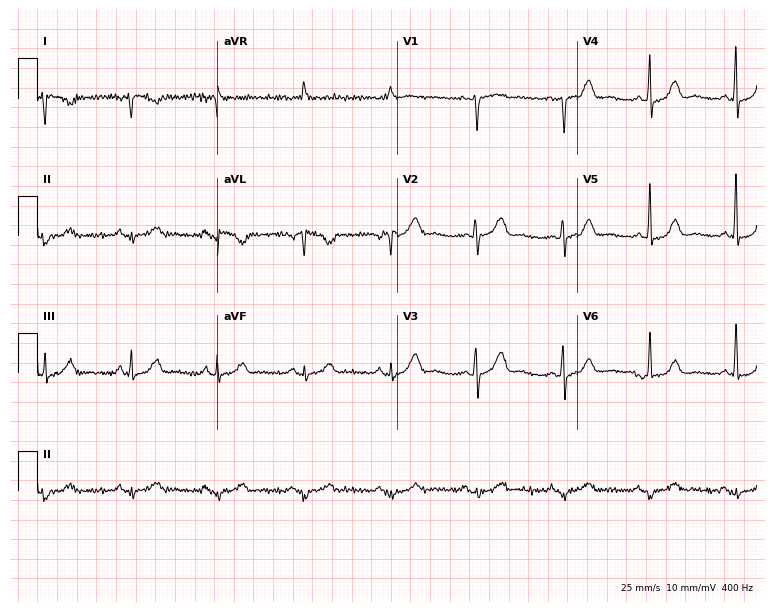
Electrocardiogram (7.3-second recording at 400 Hz), a female patient, 80 years old. Of the six screened findings (first-degree AV block, right bundle branch block (RBBB), left bundle branch block (LBBB), sinus bradycardia, atrial fibrillation (AF), sinus tachycardia), none is recorded. Only these six findings were labelled.